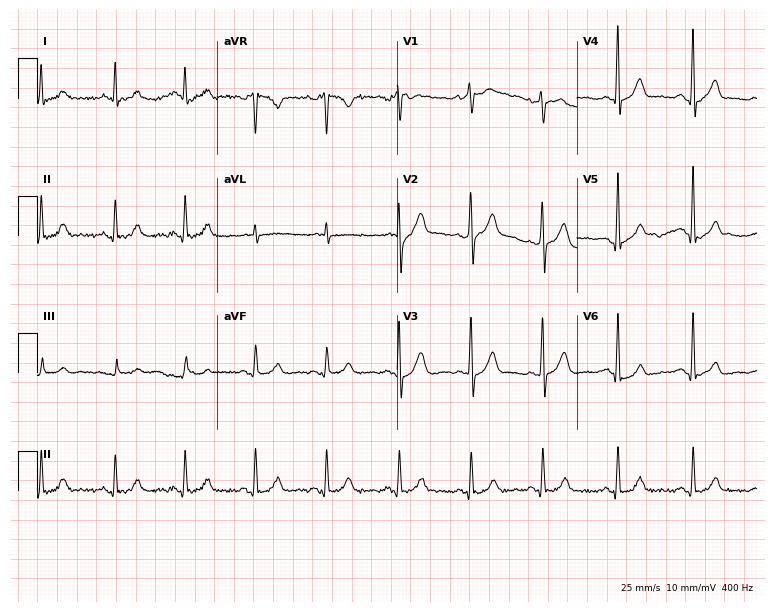
Standard 12-lead ECG recorded from a male patient, 57 years old. None of these six findings is recorded: first-degree AV block, right bundle branch block, left bundle branch block, sinus bradycardia, atrial fibrillation, sinus tachycardia. Only these six findings were labelled.